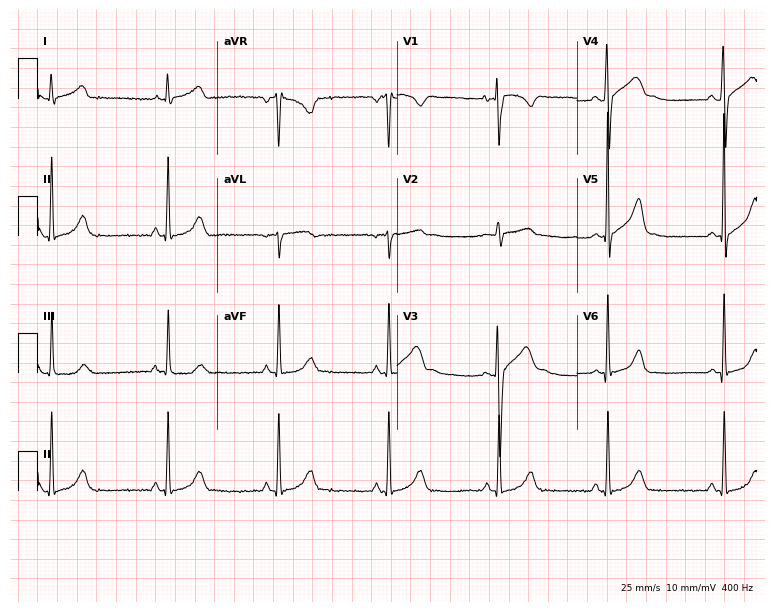
Standard 12-lead ECG recorded from a 17-year-old male. Read as a normal ECG.